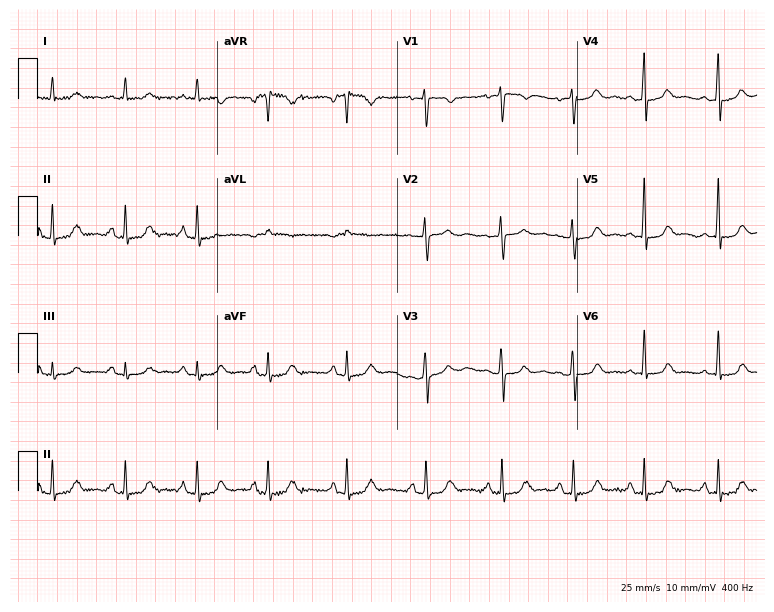
Standard 12-lead ECG recorded from a woman, 41 years old. Read as a normal ECG.